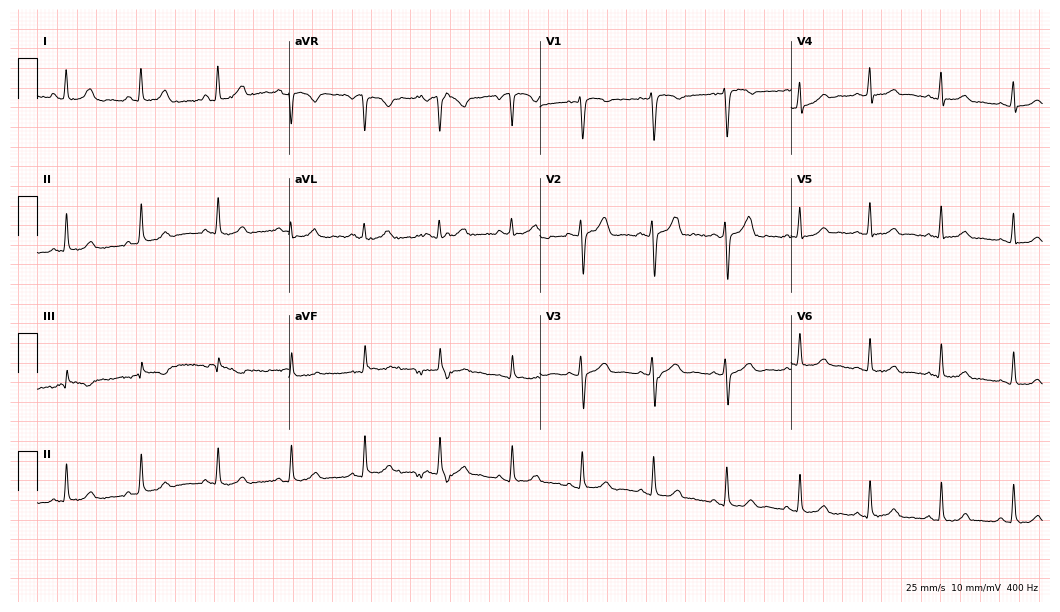
12-lead ECG from a woman, 34 years old (10.2-second recording at 400 Hz). Recorded interpretation: within normal limits.